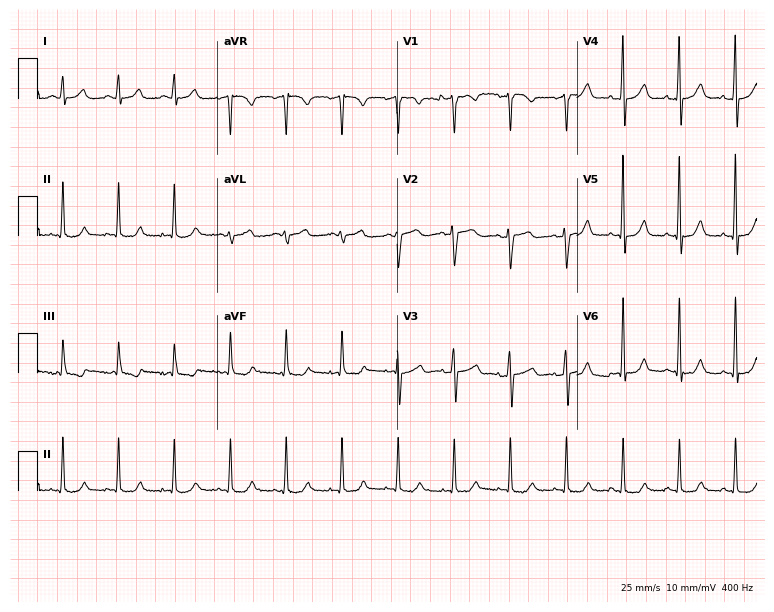
12-lead ECG (7.3-second recording at 400 Hz) from a 49-year-old female patient. Findings include sinus tachycardia (a sinus rate of 100 beats per minute or more).